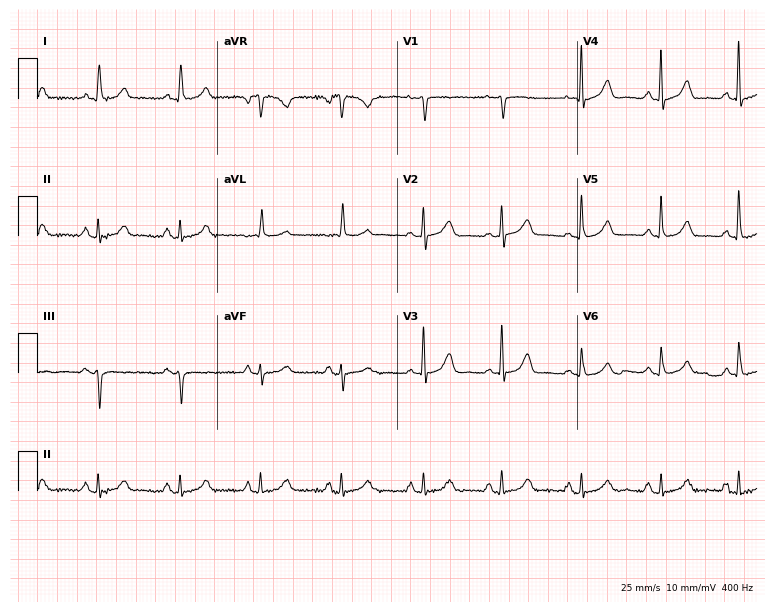
Resting 12-lead electrocardiogram. Patient: a 64-year-old female. None of these six findings is recorded: first-degree AV block, right bundle branch block, left bundle branch block, sinus bradycardia, atrial fibrillation, sinus tachycardia.